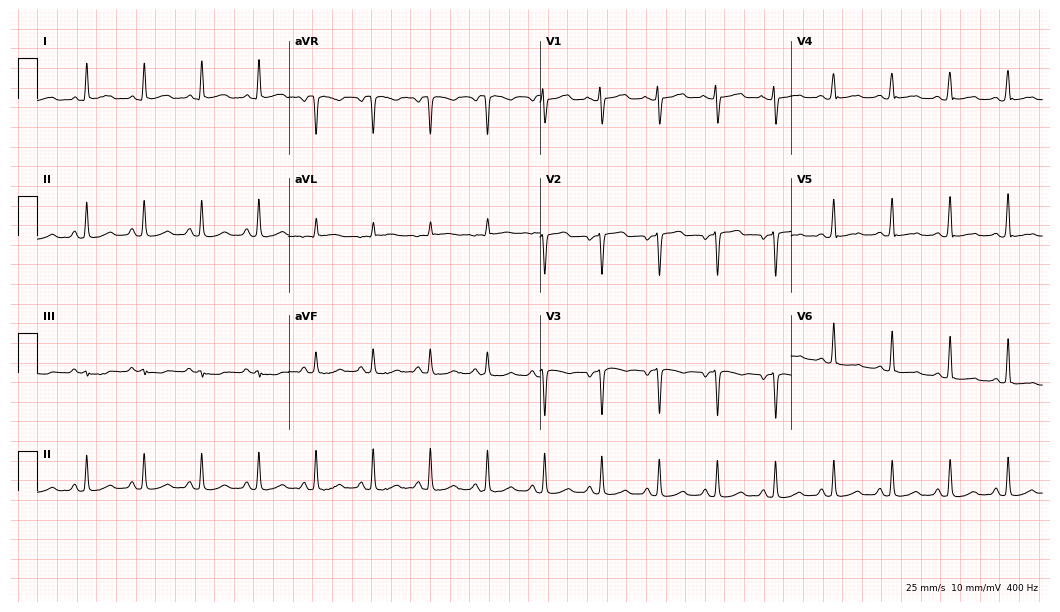
12-lead ECG from a 57-year-old woman. Findings include sinus tachycardia (a sinus rate of 100 beats per minute or more).